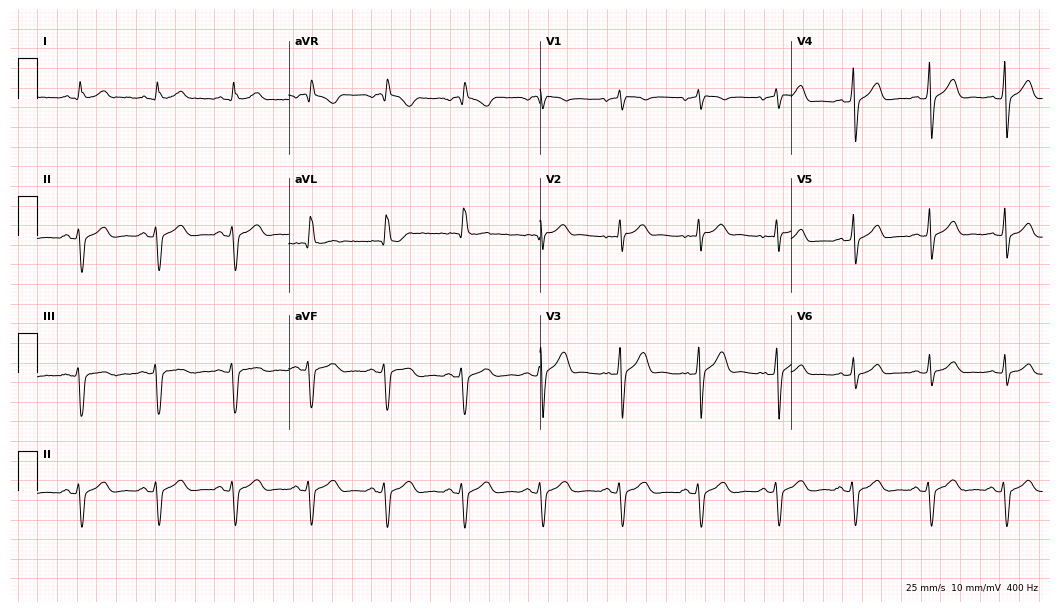
12-lead ECG from a 50-year-old male. No first-degree AV block, right bundle branch block, left bundle branch block, sinus bradycardia, atrial fibrillation or sinus tachycardia recorded for this tracing. Other findings, if any, are not listed.